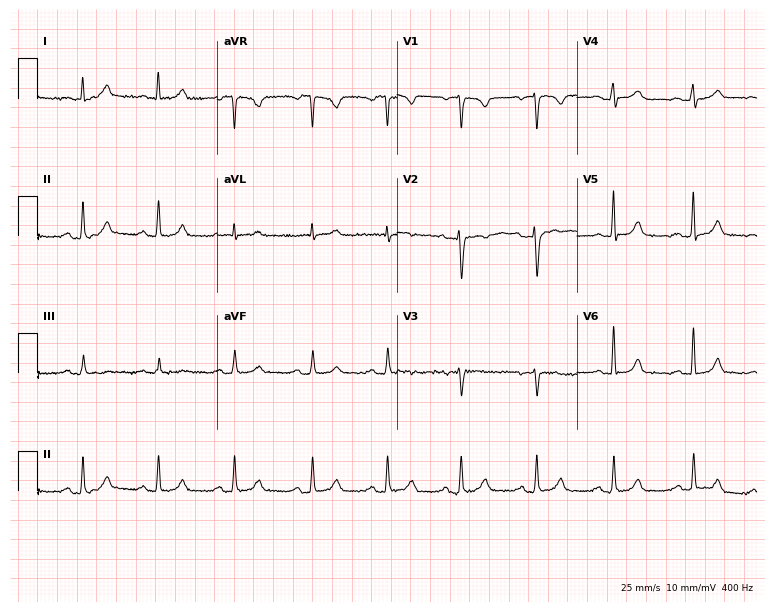
12-lead ECG from a 42-year-old female (7.3-second recording at 400 Hz). Recorded interpretation: within normal limits.